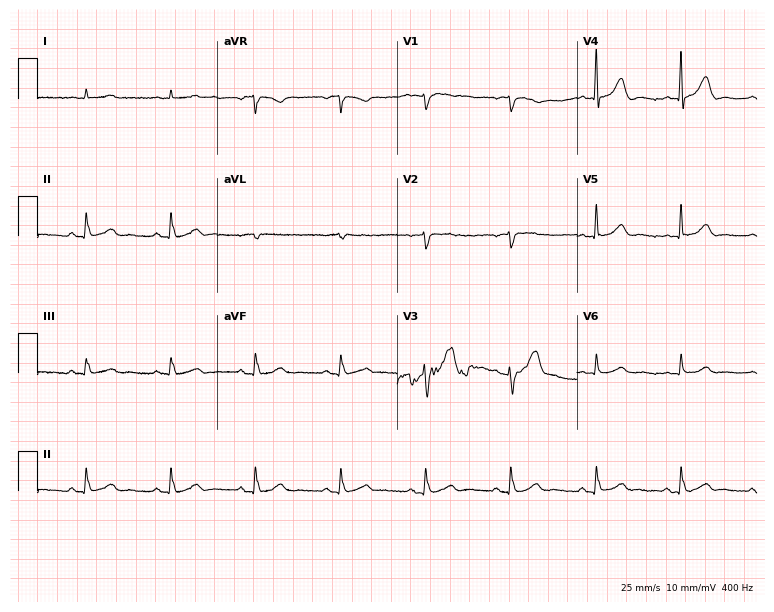
Standard 12-lead ECG recorded from a male, 78 years old (7.3-second recording at 400 Hz). Read as a normal ECG.